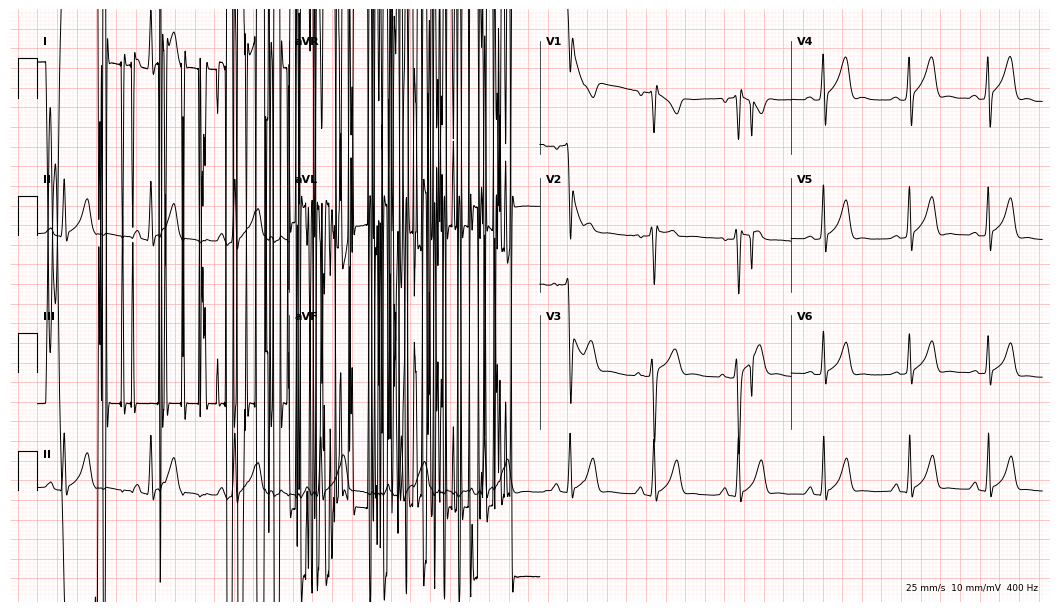
Standard 12-lead ECG recorded from a 27-year-old man (10.2-second recording at 400 Hz). None of these six findings is recorded: first-degree AV block, right bundle branch block (RBBB), left bundle branch block (LBBB), sinus bradycardia, atrial fibrillation (AF), sinus tachycardia. Only these six findings were labelled.